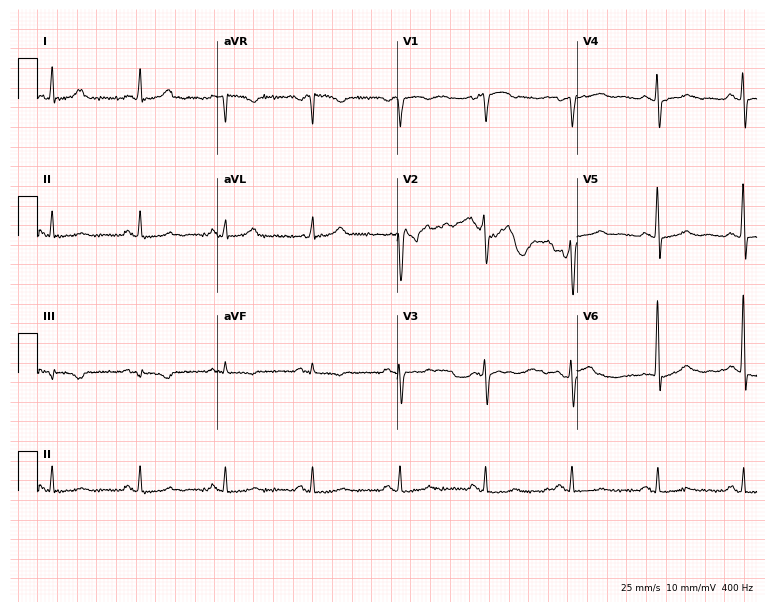
Standard 12-lead ECG recorded from a 69-year-old man (7.3-second recording at 400 Hz). None of these six findings is recorded: first-degree AV block, right bundle branch block, left bundle branch block, sinus bradycardia, atrial fibrillation, sinus tachycardia. Only these six findings were labelled.